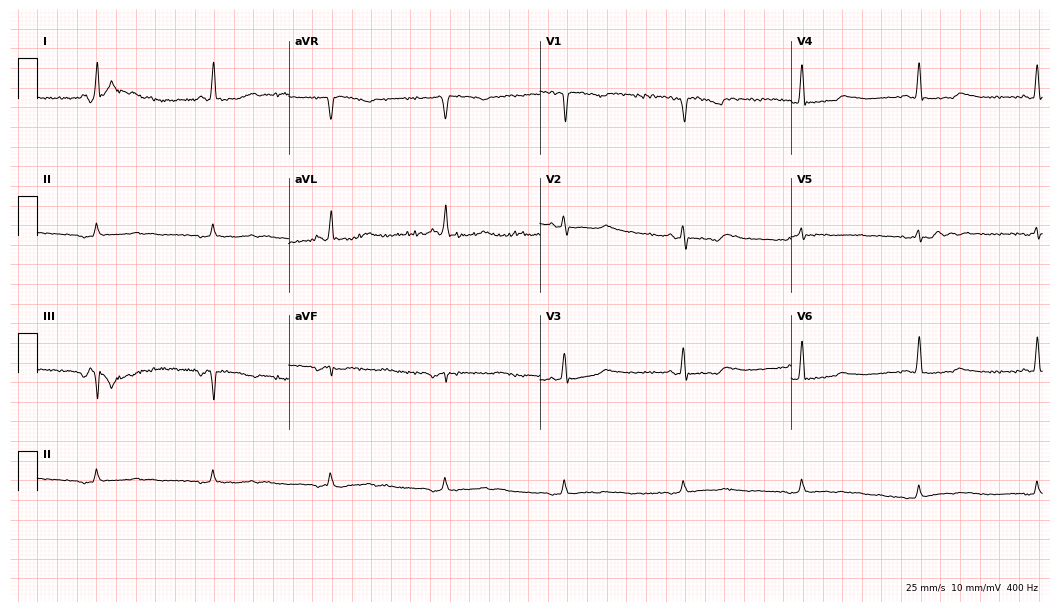
Electrocardiogram (10.2-second recording at 400 Hz), a 67-year-old female. Of the six screened findings (first-degree AV block, right bundle branch block (RBBB), left bundle branch block (LBBB), sinus bradycardia, atrial fibrillation (AF), sinus tachycardia), none is recorded. Other findings, if any, are not listed.